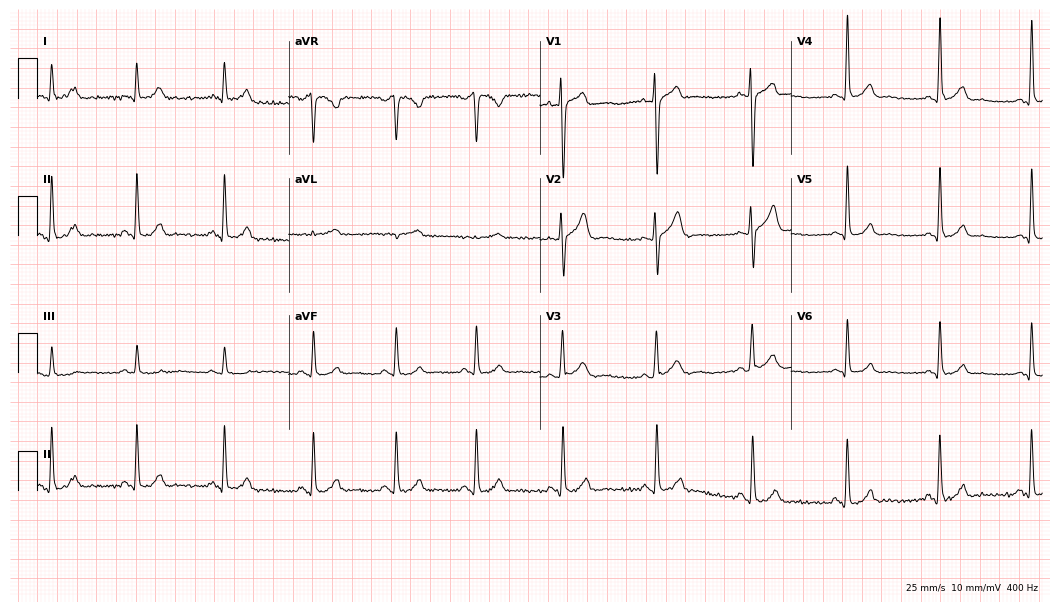
Resting 12-lead electrocardiogram (10.2-second recording at 400 Hz). Patient: a male, 33 years old. Read as a normal ECG.